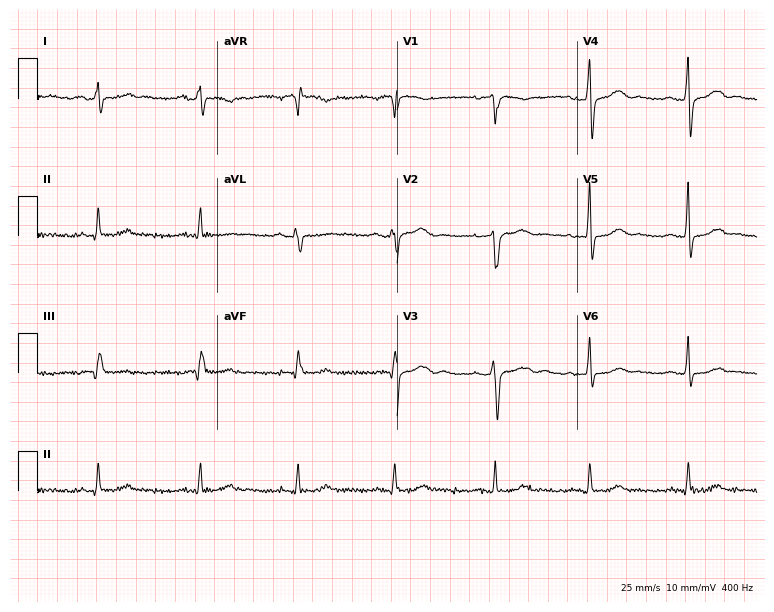
12-lead ECG (7.3-second recording at 400 Hz) from a male, 75 years old. Screened for six findings — first-degree AV block, right bundle branch block, left bundle branch block, sinus bradycardia, atrial fibrillation, sinus tachycardia — none is recorded. Findings outside these six are not listed.